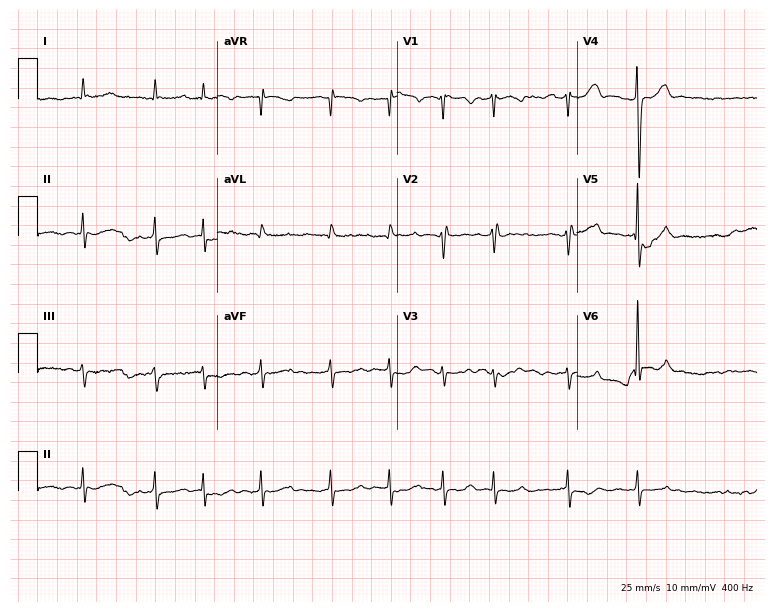
12-lead ECG from a woman, 75 years old. Findings include atrial fibrillation.